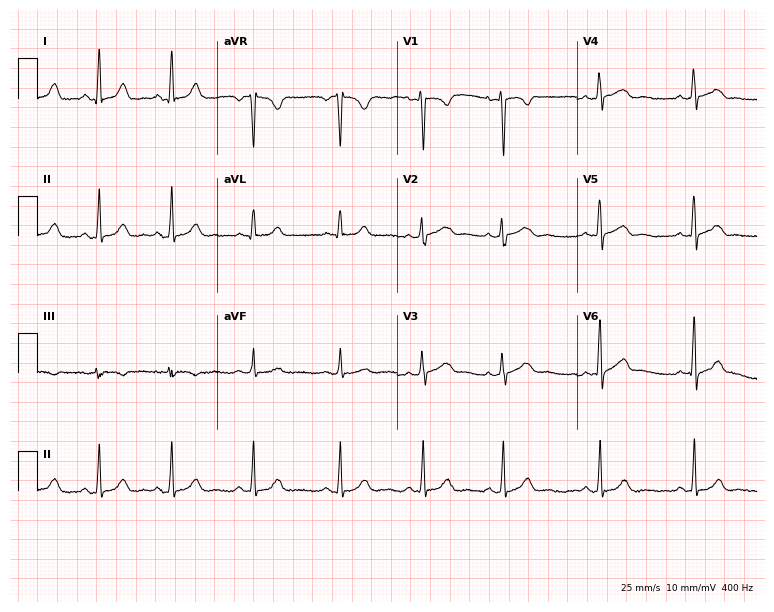
12-lead ECG from a 20-year-old woman. Recorded interpretation: within normal limits.